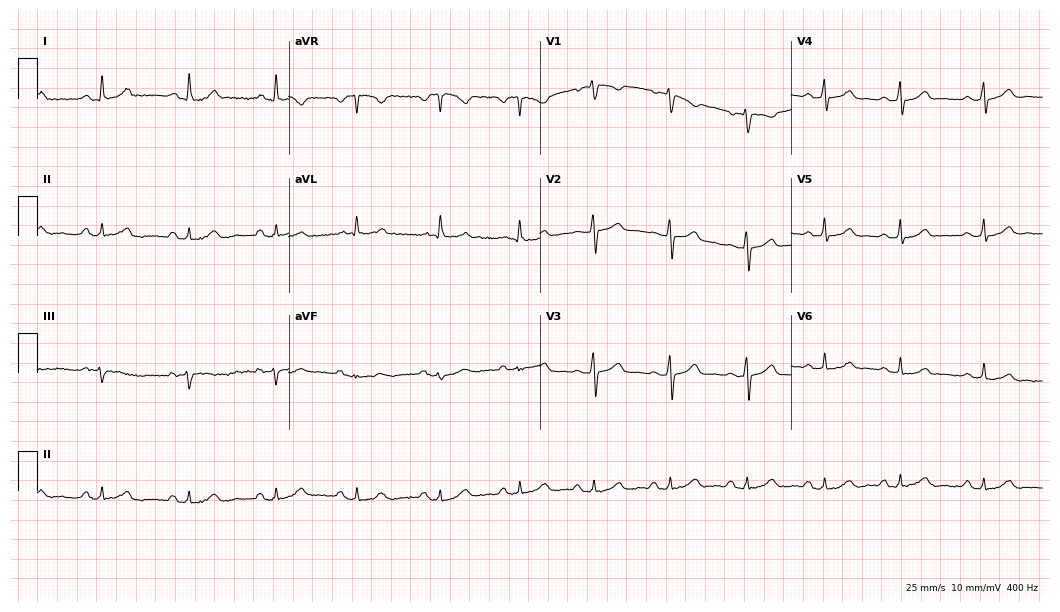
Resting 12-lead electrocardiogram (10.2-second recording at 400 Hz). Patient: a 30-year-old female. None of these six findings is recorded: first-degree AV block, right bundle branch block, left bundle branch block, sinus bradycardia, atrial fibrillation, sinus tachycardia. Only these six findings were labelled.